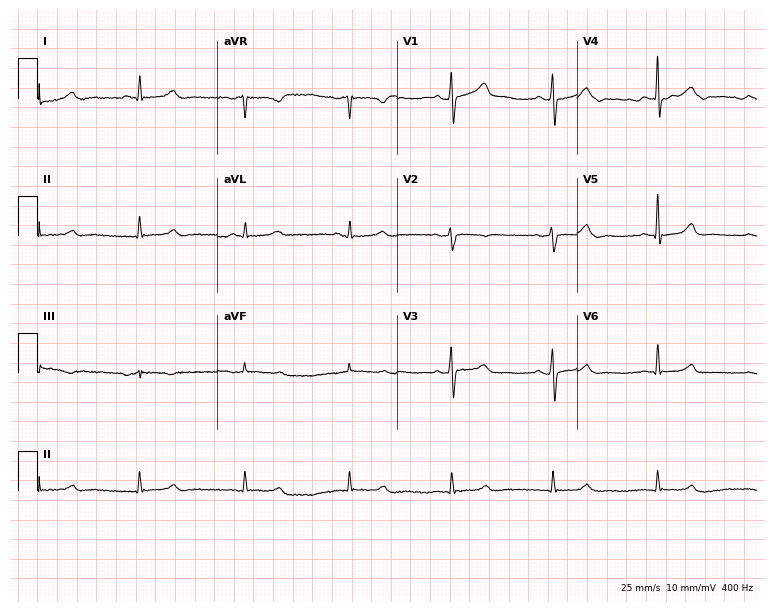
Resting 12-lead electrocardiogram. Patient: a 59-year-old woman. None of these six findings is recorded: first-degree AV block, right bundle branch block, left bundle branch block, sinus bradycardia, atrial fibrillation, sinus tachycardia.